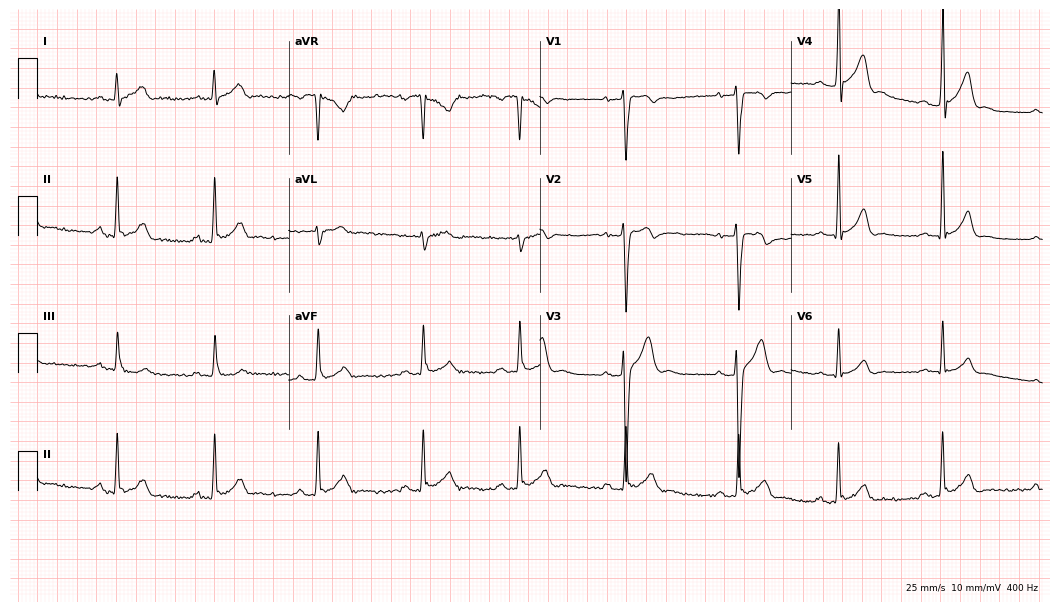
Standard 12-lead ECG recorded from an 18-year-old male patient (10.2-second recording at 400 Hz). Read as a normal ECG.